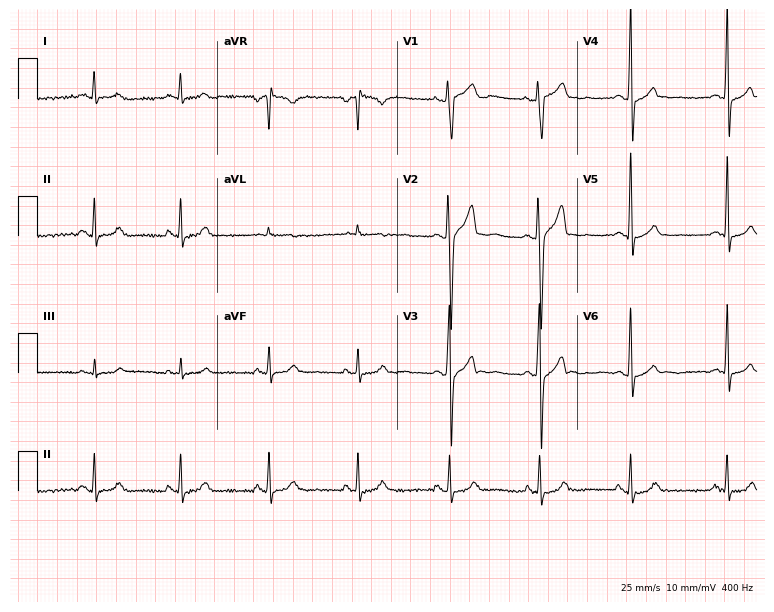
12-lead ECG (7.3-second recording at 400 Hz) from a 34-year-old male. Screened for six findings — first-degree AV block, right bundle branch block, left bundle branch block, sinus bradycardia, atrial fibrillation, sinus tachycardia — none is recorded.